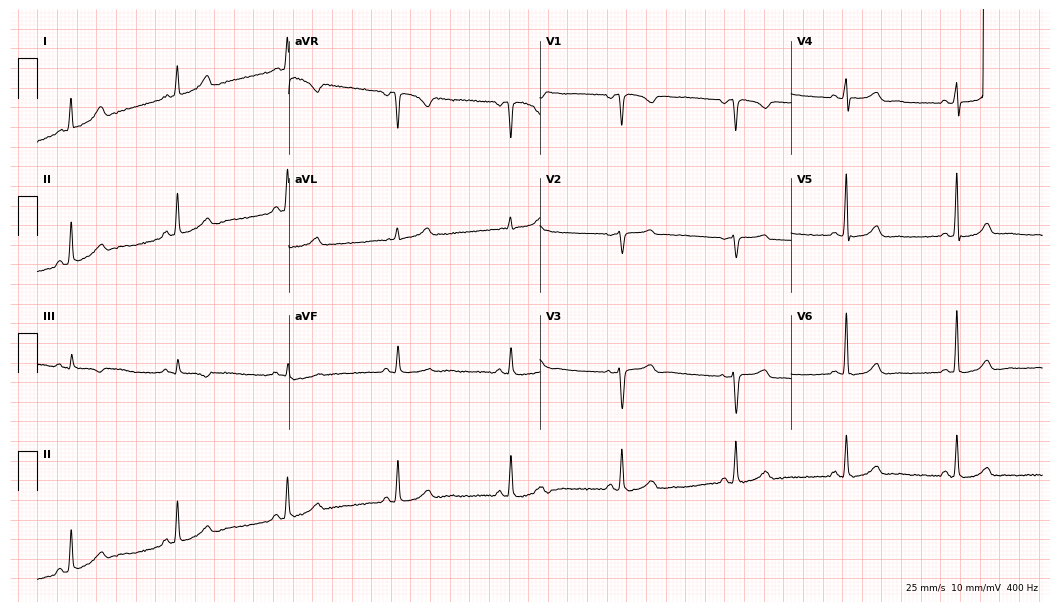
Standard 12-lead ECG recorded from a 55-year-old female patient. None of these six findings is recorded: first-degree AV block, right bundle branch block, left bundle branch block, sinus bradycardia, atrial fibrillation, sinus tachycardia.